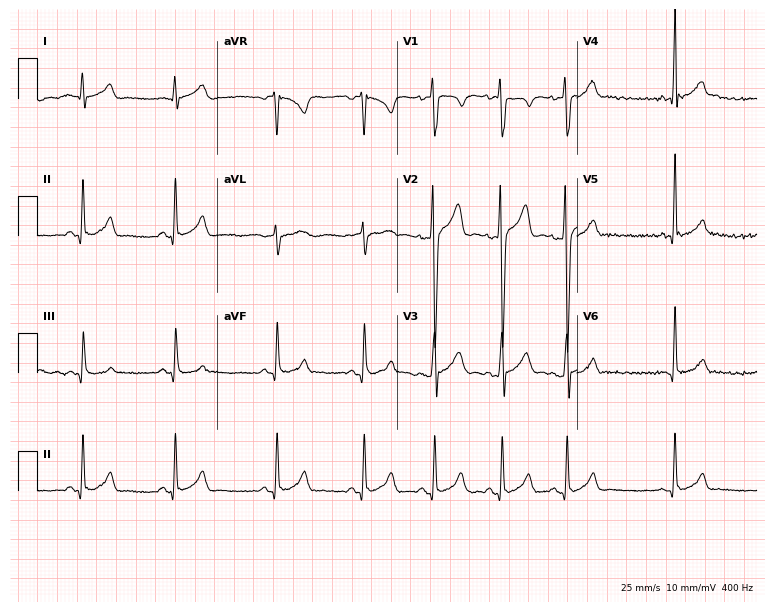
Resting 12-lead electrocardiogram. Patient: a 19-year-old male. Read as a normal ECG.